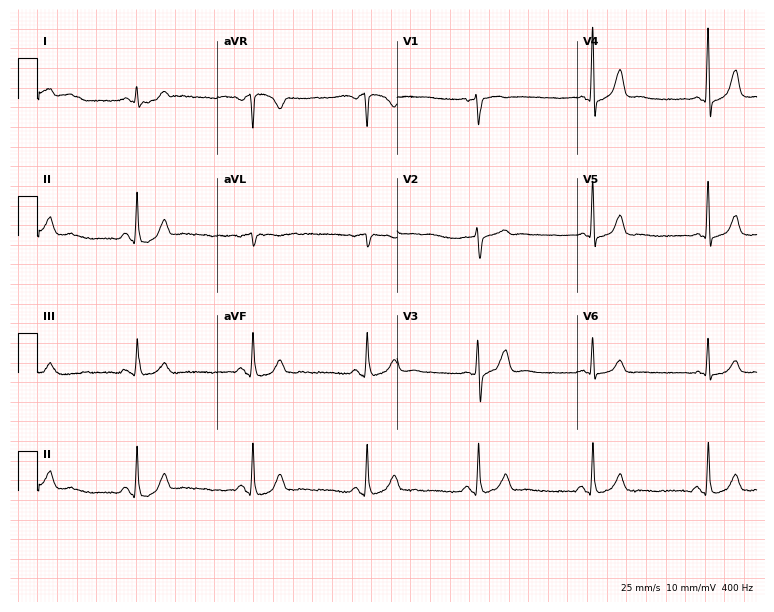
Resting 12-lead electrocardiogram (7.3-second recording at 400 Hz). Patient: a 56-year-old woman. Read as a normal ECG.